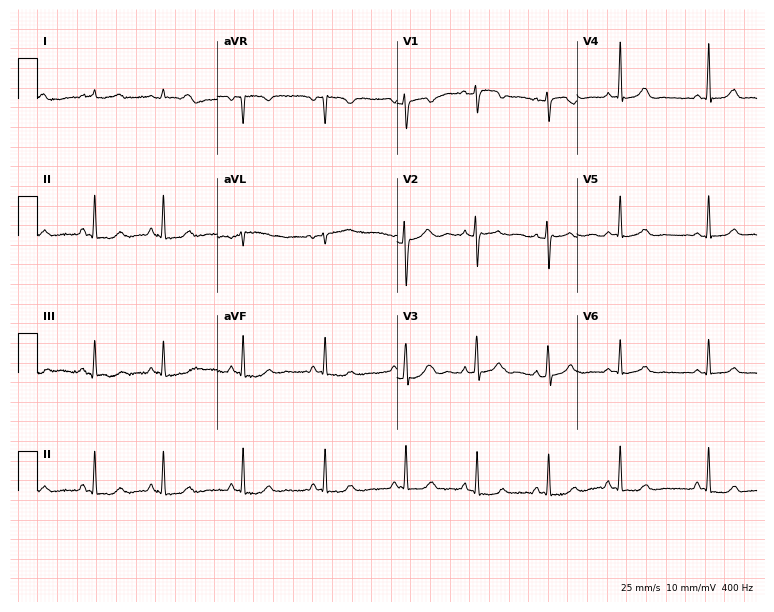
12-lead ECG (7.3-second recording at 400 Hz) from a female, 42 years old. Screened for six findings — first-degree AV block, right bundle branch block (RBBB), left bundle branch block (LBBB), sinus bradycardia, atrial fibrillation (AF), sinus tachycardia — none is recorded.